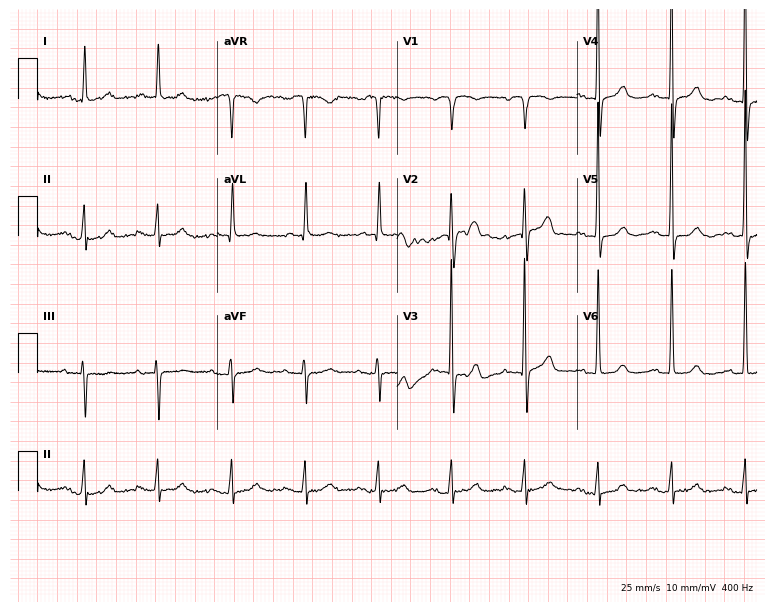
ECG (7.3-second recording at 400 Hz) — a male, 84 years old. Screened for six findings — first-degree AV block, right bundle branch block, left bundle branch block, sinus bradycardia, atrial fibrillation, sinus tachycardia — none is recorded. Findings outside these six are not listed.